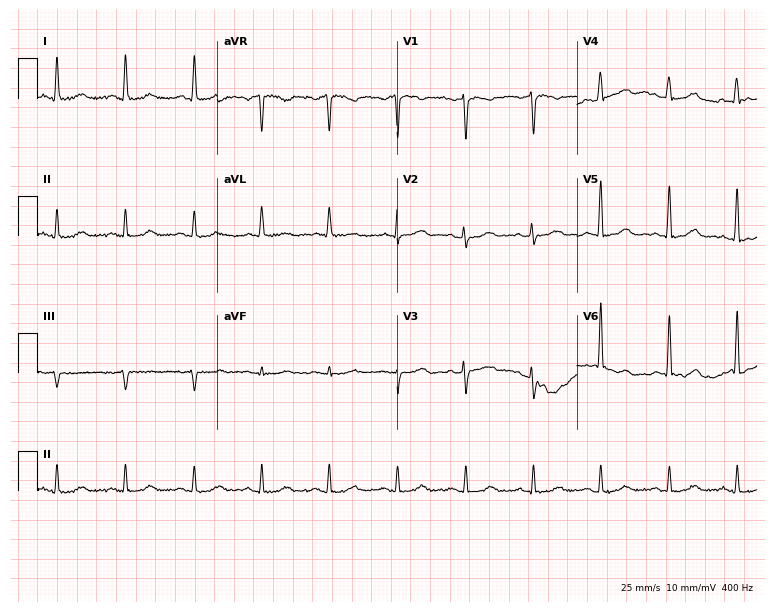
Resting 12-lead electrocardiogram. Patient: a female, 64 years old. Read as a normal ECG.